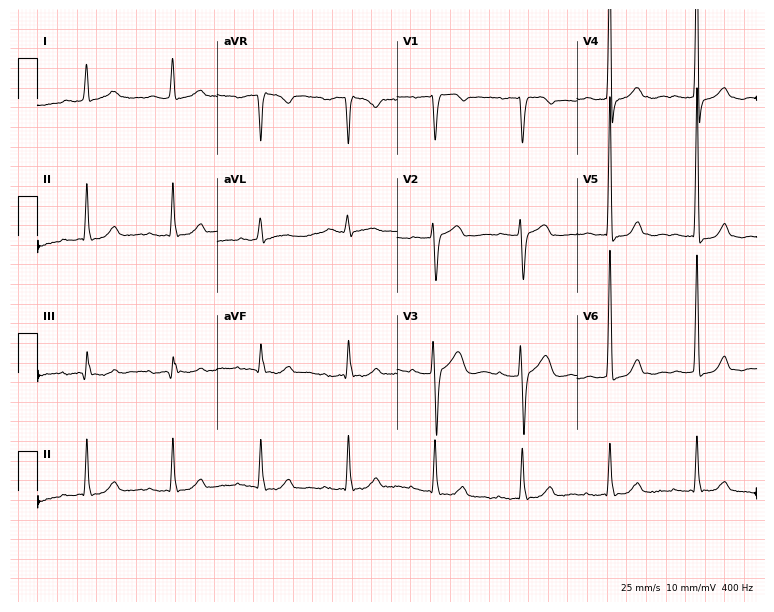
Resting 12-lead electrocardiogram (7.3-second recording at 400 Hz). Patient: a woman, 64 years old. None of these six findings is recorded: first-degree AV block, right bundle branch block (RBBB), left bundle branch block (LBBB), sinus bradycardia, atrial fibrillation (AF), sinus tachycardia. Findings outside these six are not listed.